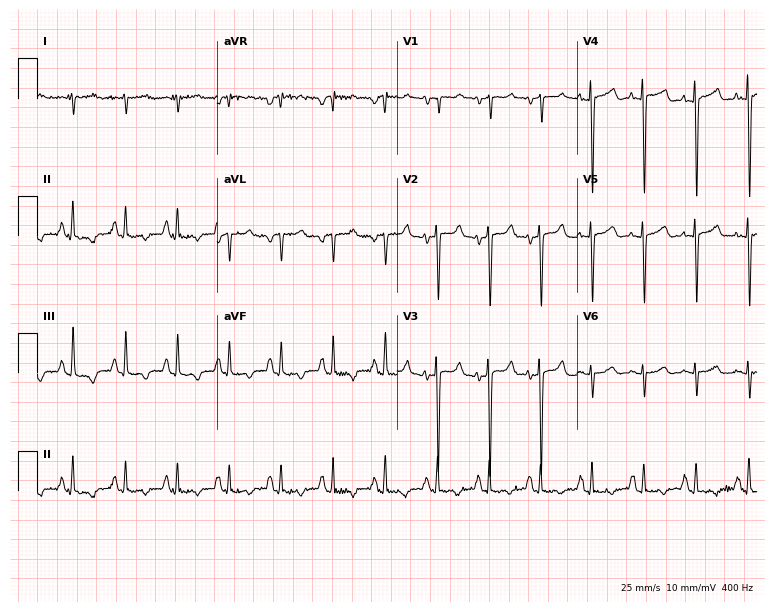
12-lead ECG from a 76-year-old man (7.3-second recording at 400 Hz). No first-degree AV block, right bundle branch block, left bundle branch block, sinus bradycardia, atrial fibrillation or sinus tachycardia recorded for this tracing.